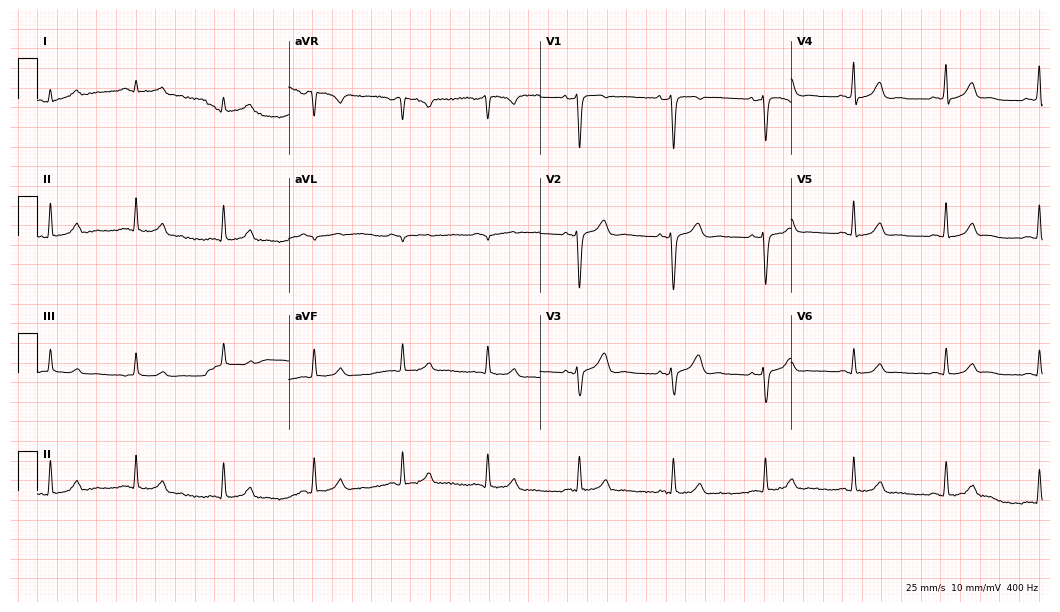
Resting 12-lead electrocardiogram. Patient: a 41-year-old woman. None of these six findings is recorded: first-degree AV block, right bundle branch block, left bundle branch block, sinus bradycardia, atrial fibrillation, sinus tachycardia.